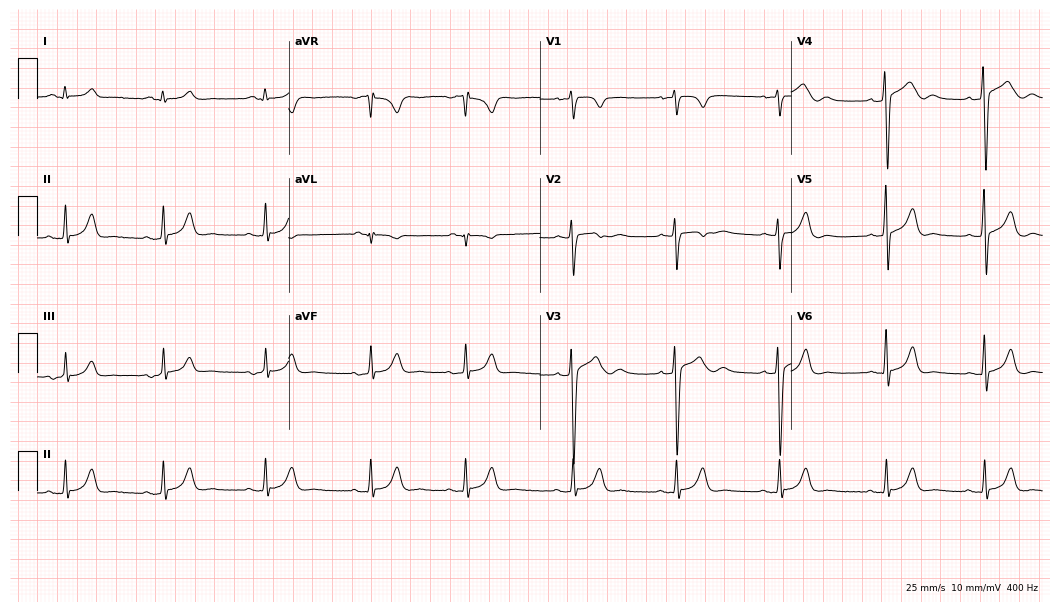
Resting 12-lead electrocardiogram. Patient: a male, 17 years old. Read as a normal ECG.